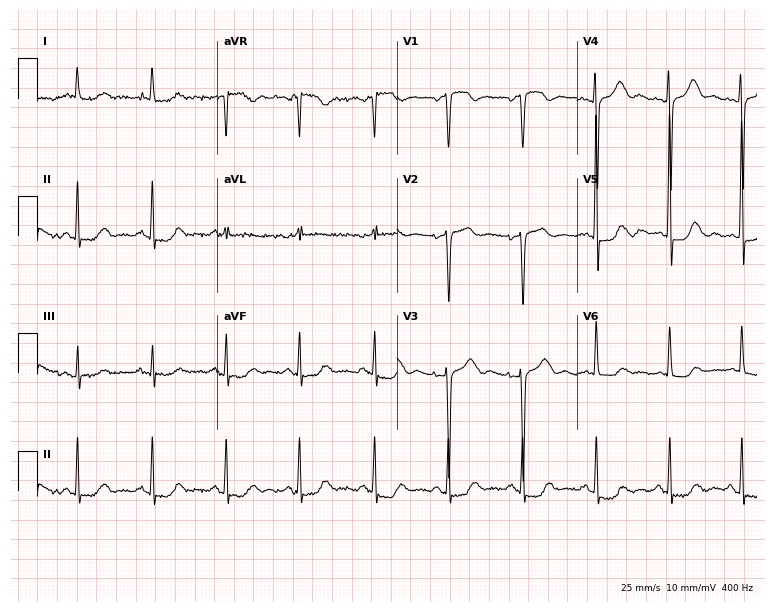
Standard 12-lead ECG recorded from an 85-year-old female patient. None of these six findings is recorded: first-degree AV block, right bundle branch block, left bundle branch block, sinus bradycardia, atrial fibrillation, sinus tachycardia.